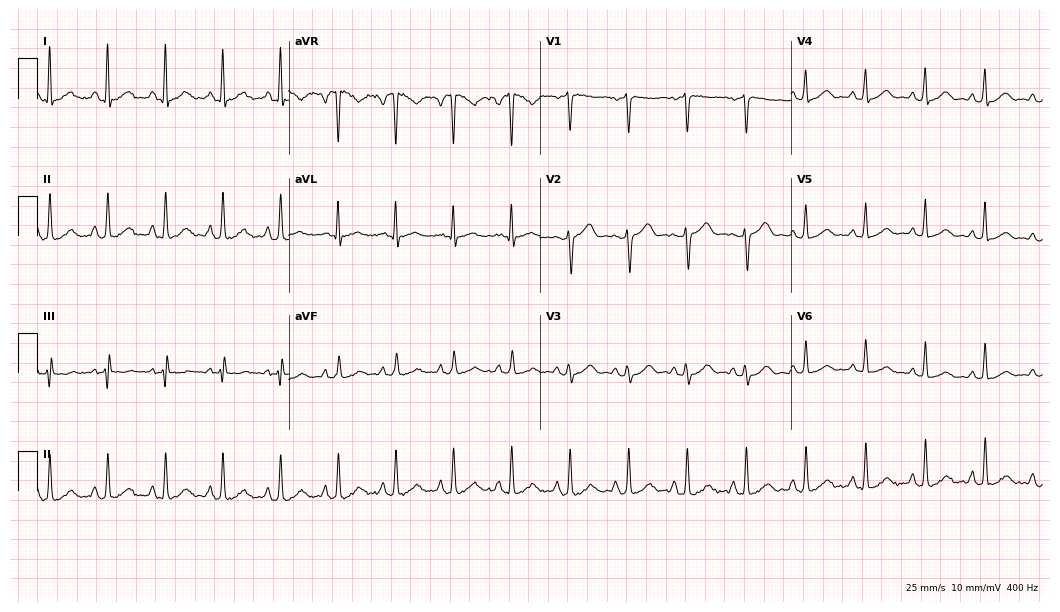
Standard 12-lead ECG recorded from a female patient, 47 years old (10.2-second recording at 400 Hz). Read as a normal ECG.